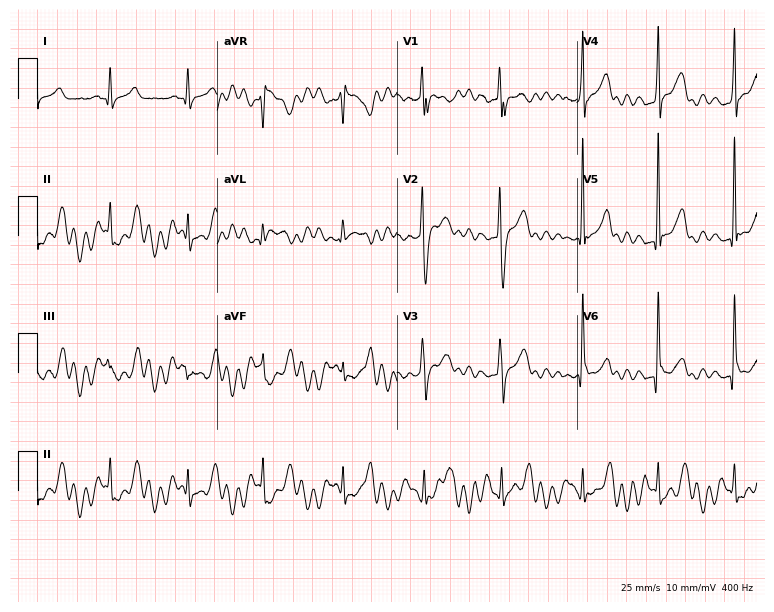
Resting 12-lead electrocardiogram (7.3-second recording at 400 Hz). Patient: a 38-year-old male. None of these six findings is recorded: first-degree AV block, right bundle branch block, left bundle branch block, sinus bradycardia, atrial fibrillation, sinus tachycardia. Findings outside these six are not listed.